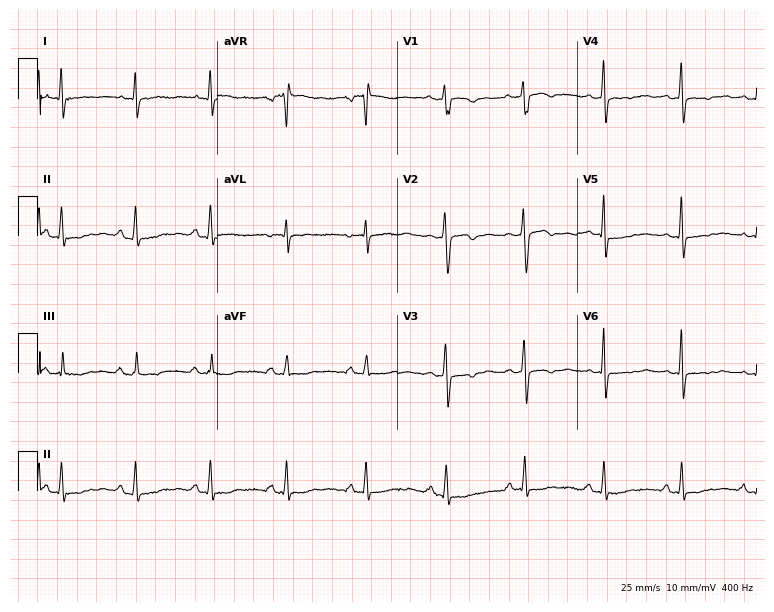
ECG — a female, 34 years old. Screened for six findings — first-degree AV block, right bundle branch block, left bundle branch block, sinus bradycardia, atrial fibrillation, sinus tachycardia — none is recorded. Findings outside these six are not listed.